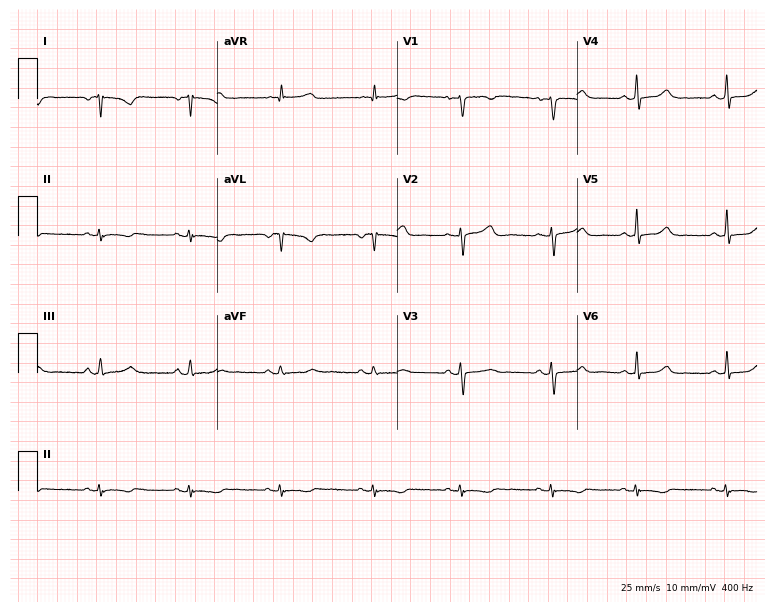
Standard 12-lead ECG recorded from a female patient, 35 years old (7.3-second recording at 400 Hz). None of these six findings is recorded: first-degree AV block, right bundle branch block, left bundle branch block, sinus bradycardia, atrial fibrillation, sinus tachycardia.